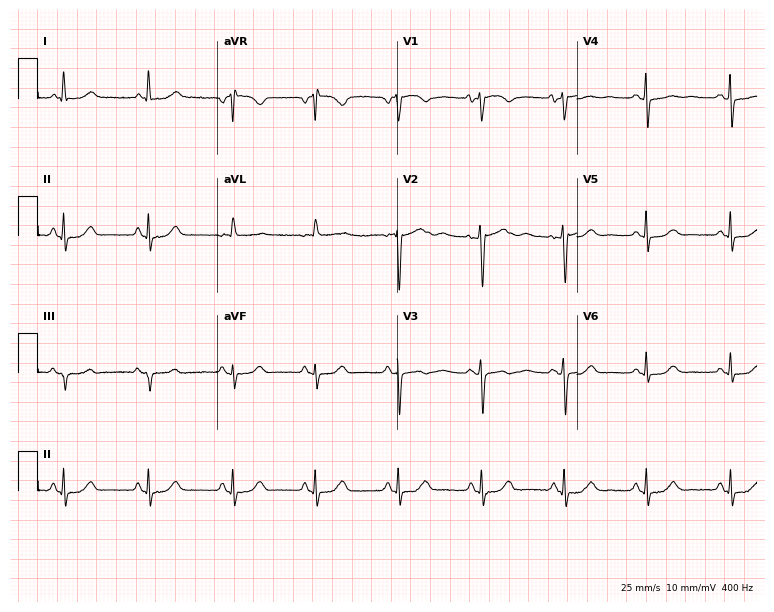
Resting 12-lead electrocardiogram (7.3-second recording at 400 Hz). Patient: an 84-year-old woman. Read as a normal ECG.